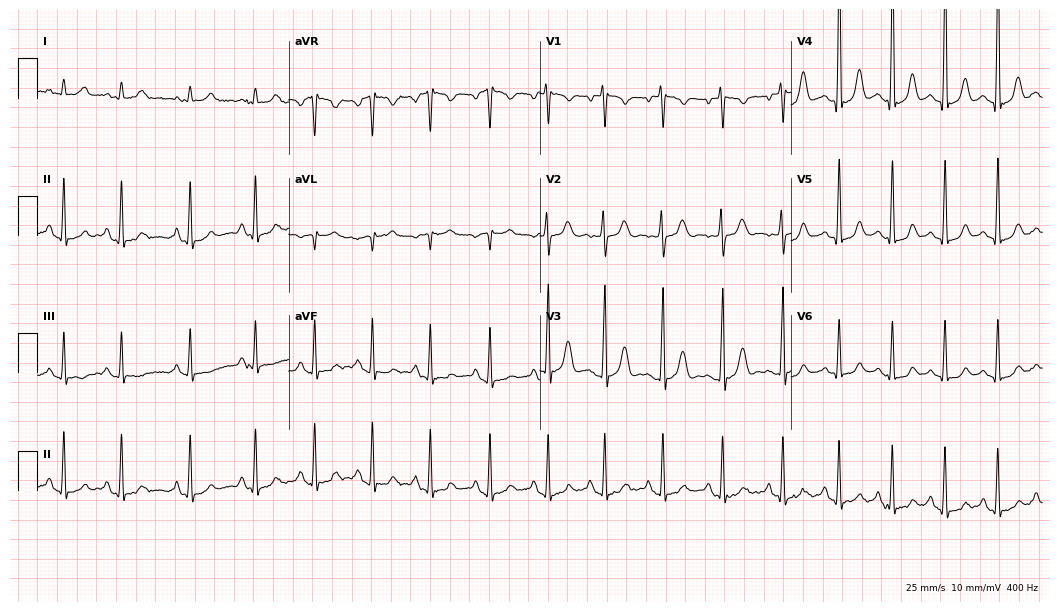
12-lead ECG from a woman, 19 years old (10.2-second recording at 400 Hz). Recorded interpretation: within normal limits.